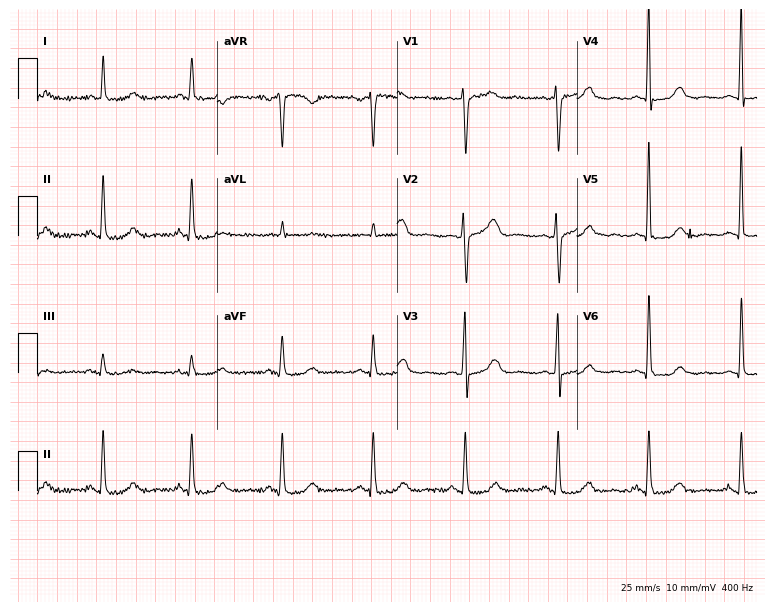
ECG — a female, 54 years old. Screened for six findings — first-degree AV block, right bundle branch block, left bundle branch block, sinus bradycardia, atrial fibrillation, sinus tachycardia — none is recorded.